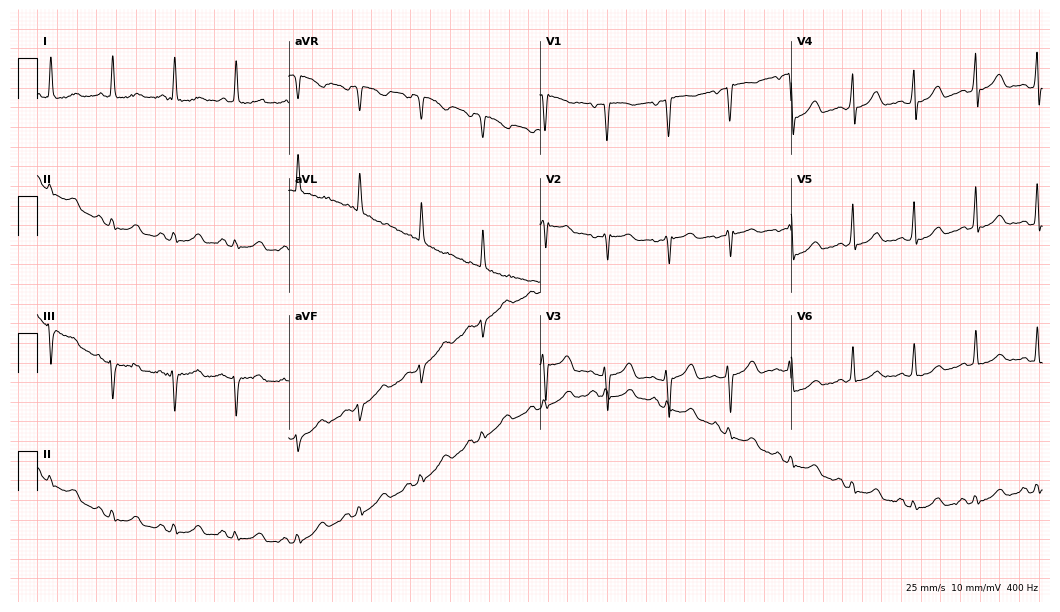
Resting 12-lead electrocardiogram. Patient: a 72-year-old female. None of these six findings is recorded: first-degree AV block, right bundle branch block (RBBB), left bundle branch block (LBBB), sinus bradycardia, atrial fibrillation (AF), sinus tachycardia.